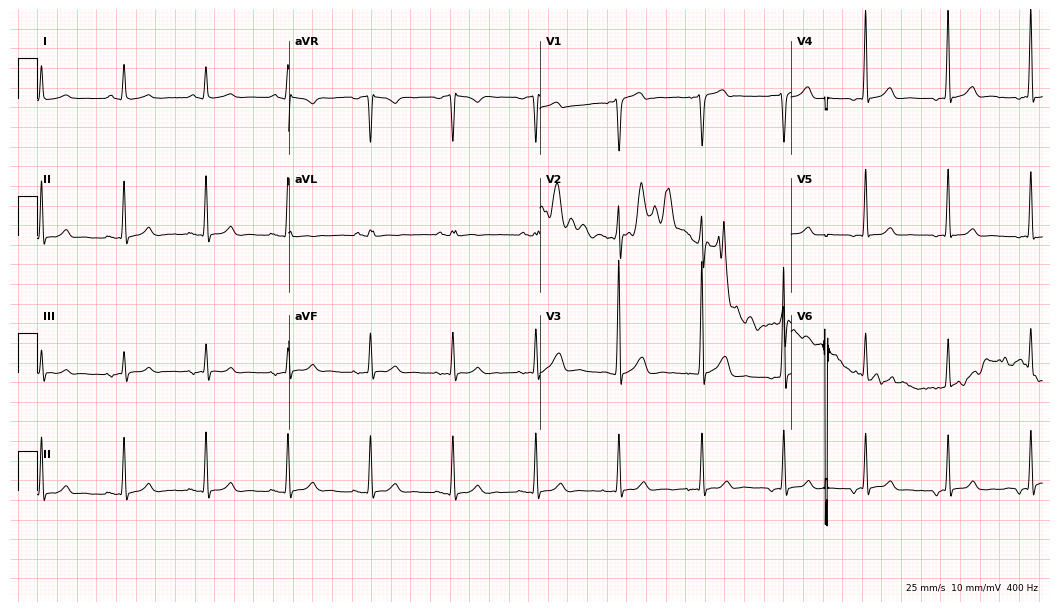
12-lead ECG (10.2-second recording at 400 Hz) from a male, 51 years old. Screened for six findings — first-degree AV block, right bundle branch block (RBBB), left bundle branch block (LBBB), sinus bradycardia, atrial fibrillation (AF), sinus tachycardia — none is recorded. Findings outside these six are not listed.